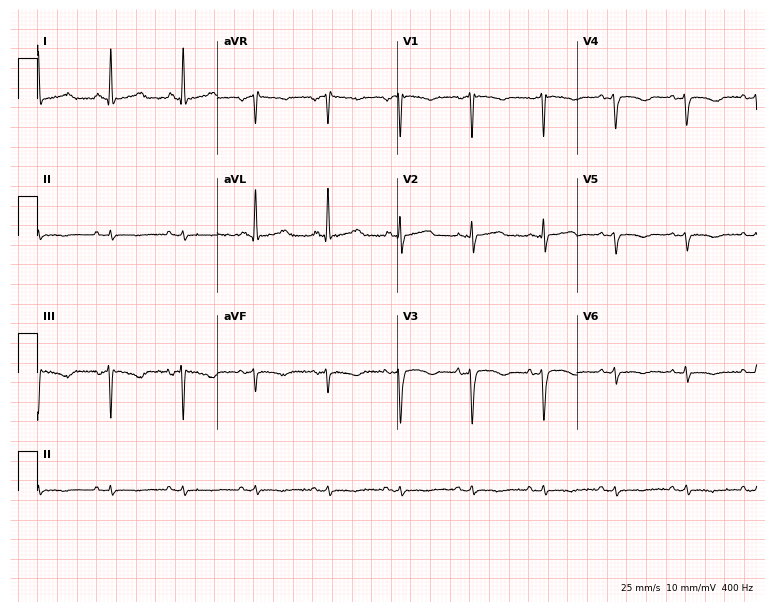
Resting 12-lead electrocardiogram (7.3-second recording at 400 Hz). Patient: a 73-year-old female. None of these six findings is recorded: first-degree AV block, right bundle branch block, left bundle branch block, sinus bradycardia, atrial fibrillation, sinus tachycardia.